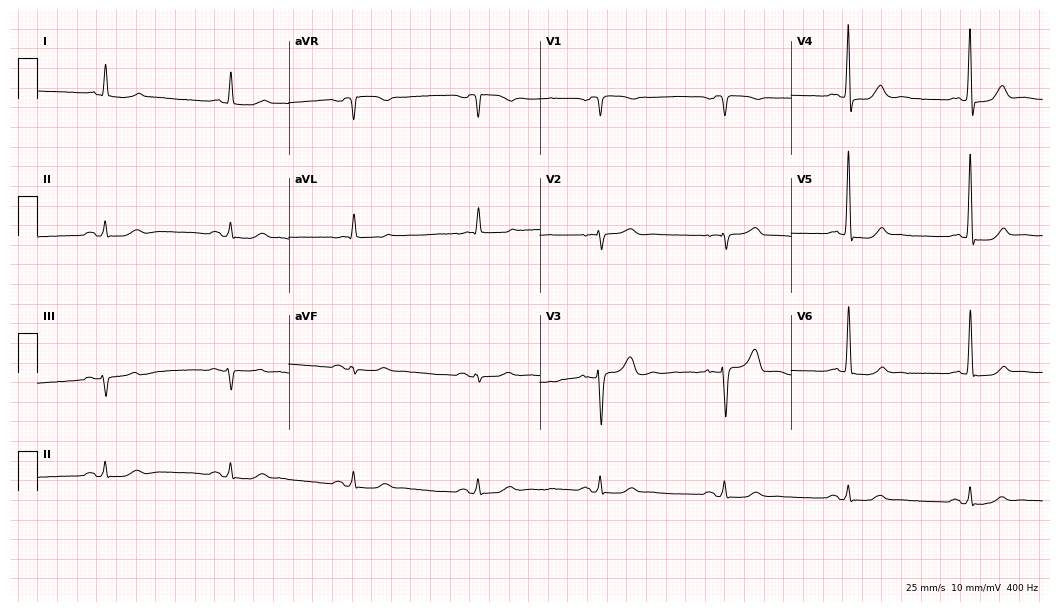
ECG (10.2-second recording at 400 Hz) — a man, 83 years old. Findings include sinus bradycardia (a sinus rate of 50 beats per minute or less).